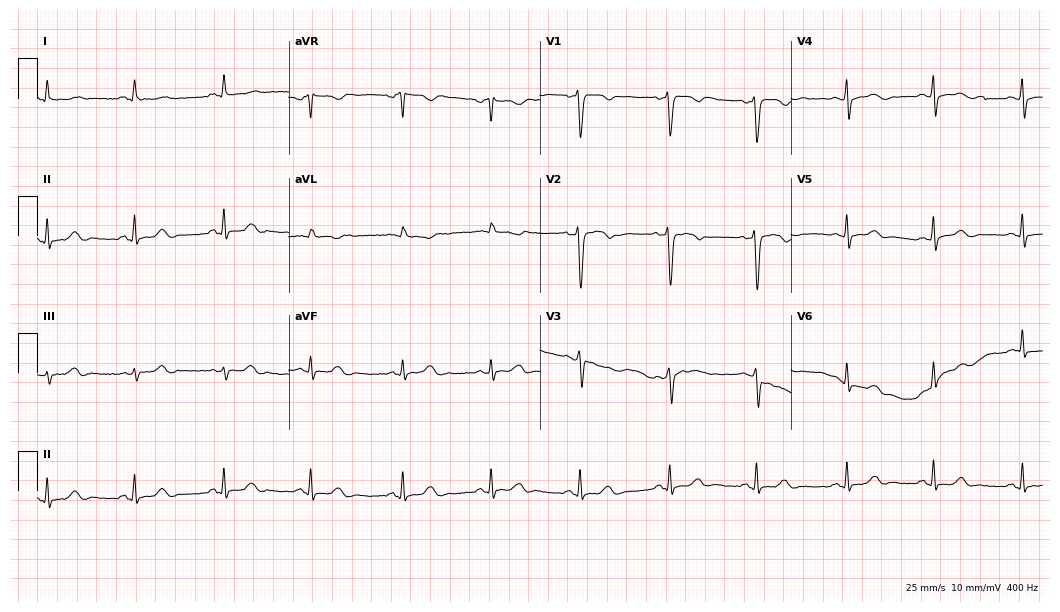
ECG — a 31-year-old woman. Labelled as a normal ECG.